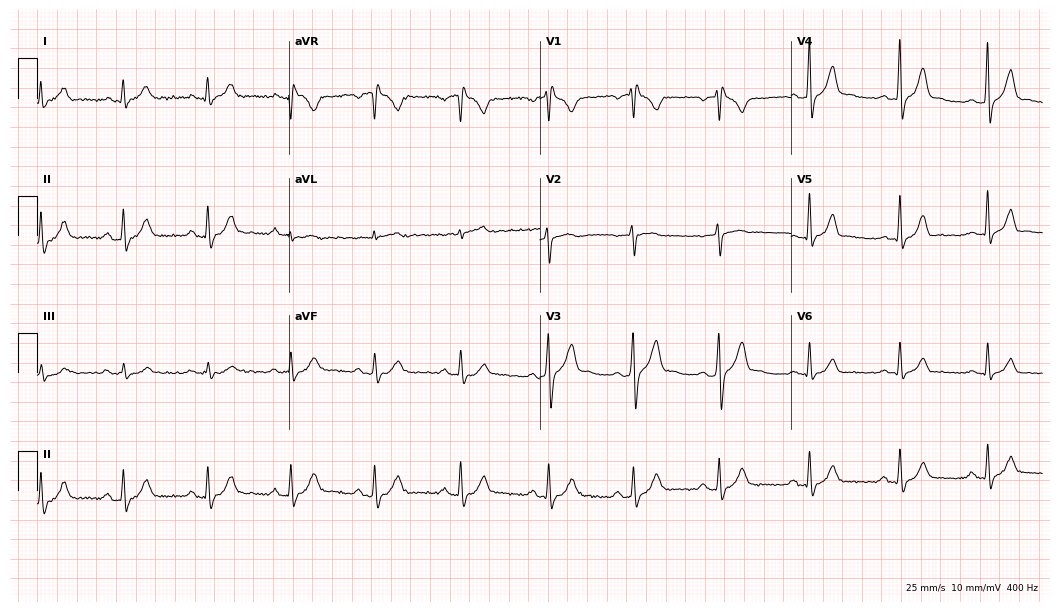
12-lead ECG from a male, 31 years old (10.2-second recording at 400 Hz). No first-degree AV block, right bundle branch block, left bundle branch block, sinus bradycardia, atrial fibrillation or sinus tachycardia recorded for this tracing.